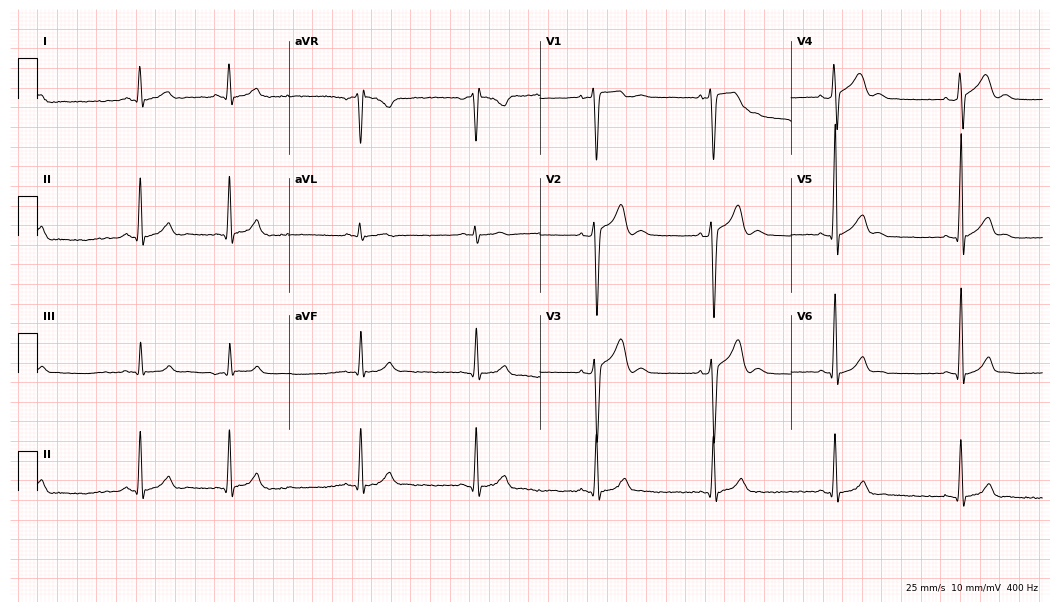
Resting 12-lead electrocardiogram (10.2-second recording at 400 Hz). Patient: a 21-year-old male. None of these six findings is recorded: first-degree AV block, right bundle branch block, left bundle branch block, sinus bradycardia, atrial fibrillation, sinus tachycardia.